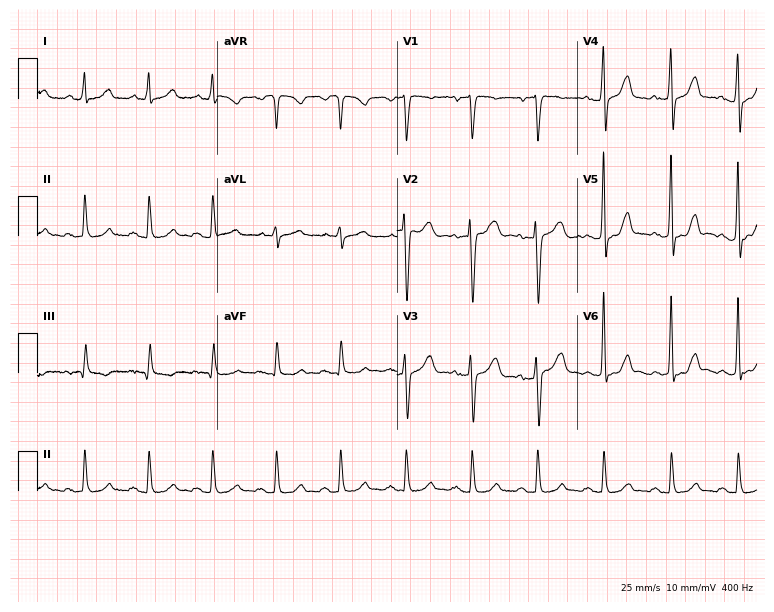
ECG — a man, 48 years old. Labelled as a normal ECG.